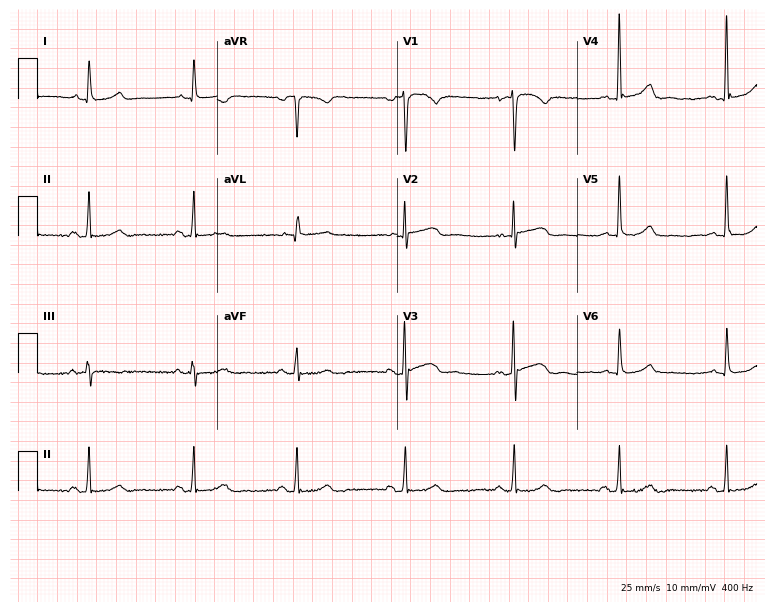
Resting 12-lead electrocardiogram (7.3-second recording at 400 Hz). Patient: a 67-year-old man. Read as a normal ECG.